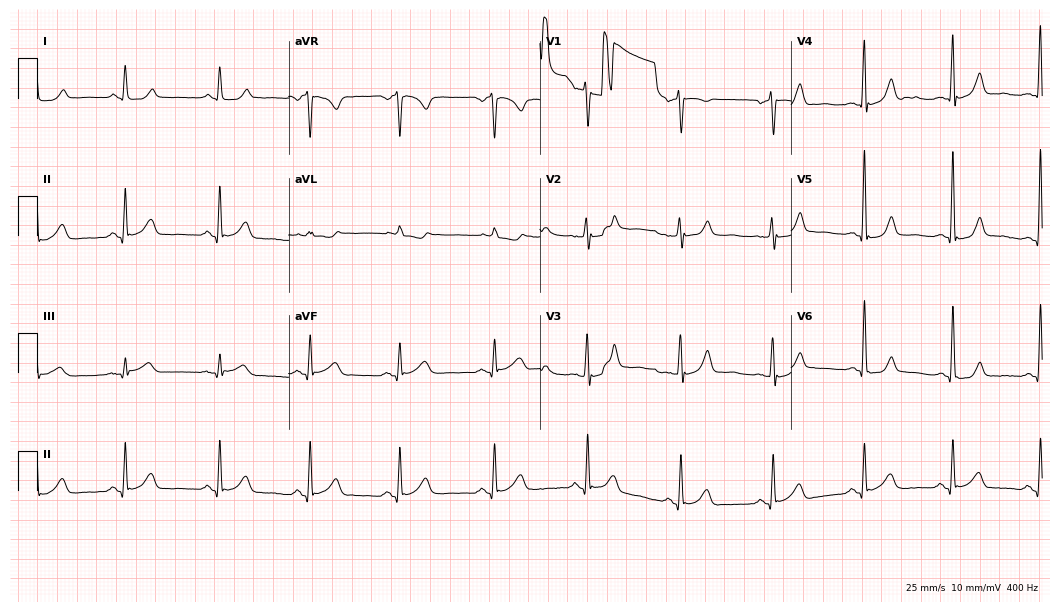
12-lead ECG from a 72-year-old male. Labelled as a normal ECG.